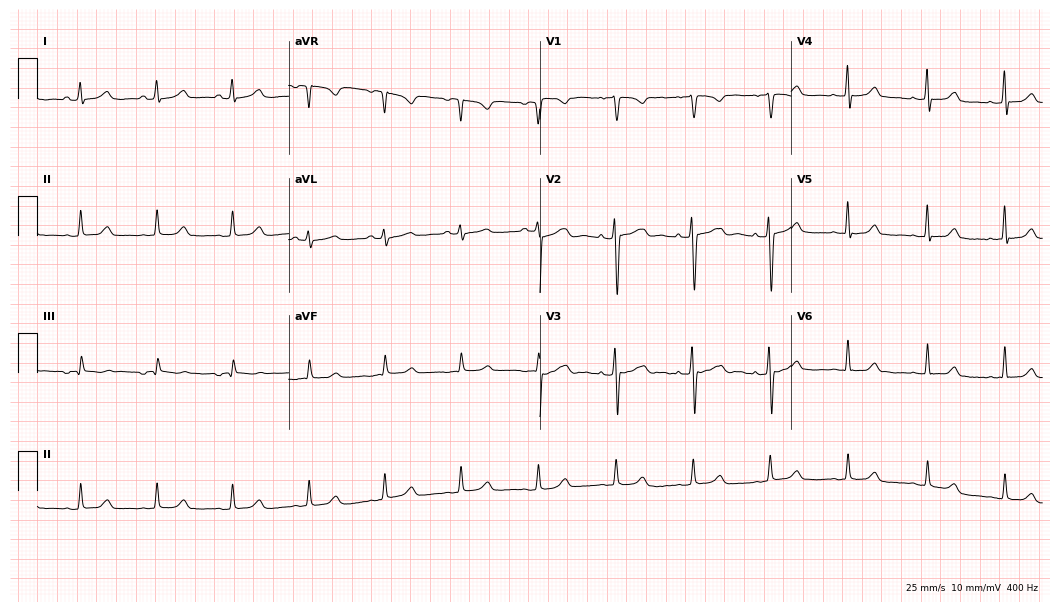
12-lead ECG from a 31-year-old woman. Labelled as a normal ECG.